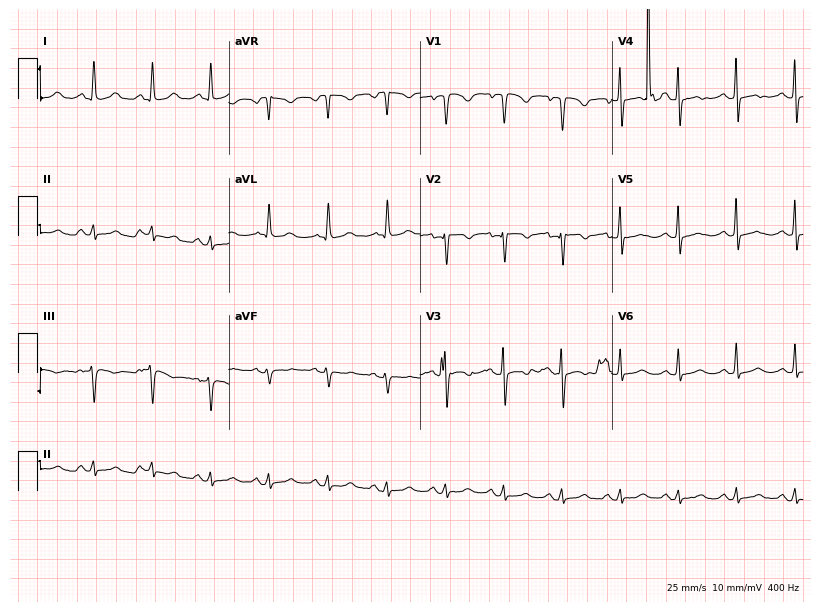
12-lead ECG from a 67-year-old female patient. Shows sinus tachycardia (a sinus rate of 100 beats per minute or more).